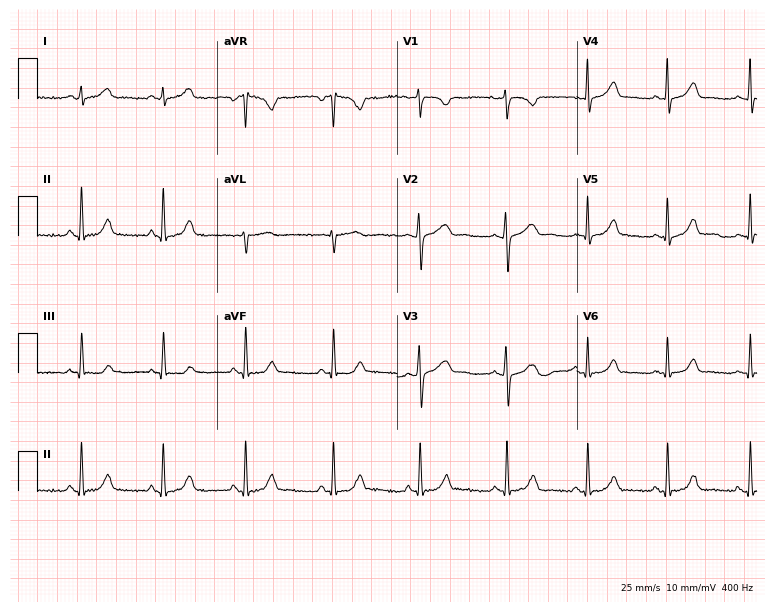
ECG (7.3-second recording at 400 Hz) — a 22-year-old woman. Screened for six findings — first-degree AV block, right bundle branch block (RBBB), left bundle branch block (LBBB), sinus bradycardia, atrial fibrillation (AF), sinus tachycardia — none is recorded. Findings outside these six are not listed.